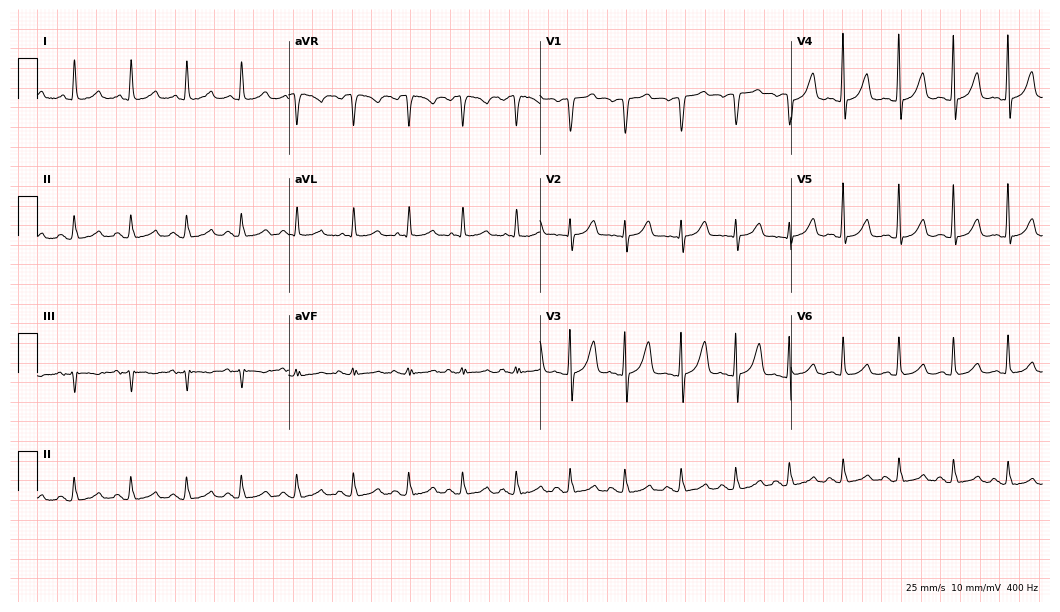
12-lead ECG from a 44-year-old female. Findings include sinus tachycardia (a sinus rate of 100 beats per minute or more).